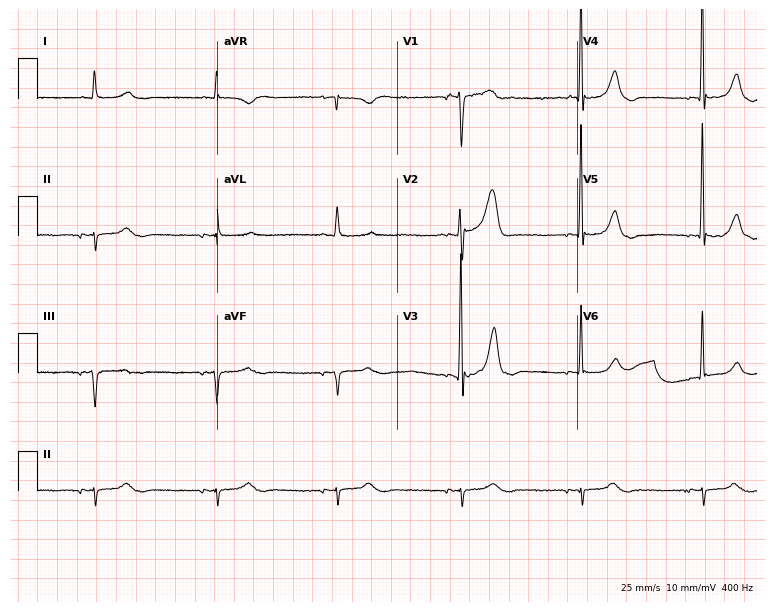
ECG (7.3-second recording at 400 Hz) — an 85-year-old male patient. Screened for six findings — first-degree AV block, right bundle branch block (RBBB), left bundle branch block (LBBB), sinus bradycardia, atrial fibrillation (AF), sinus tachycardia — none is recorded. Findings outside these six are not listed.